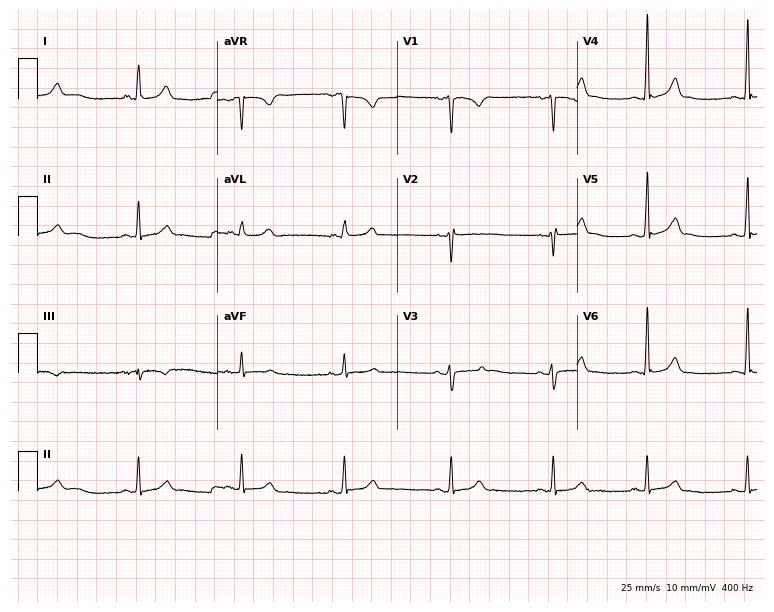
Resting 12-lead electrocardiogram. Patient: a 33-year-old female. Read as a normal ECG.